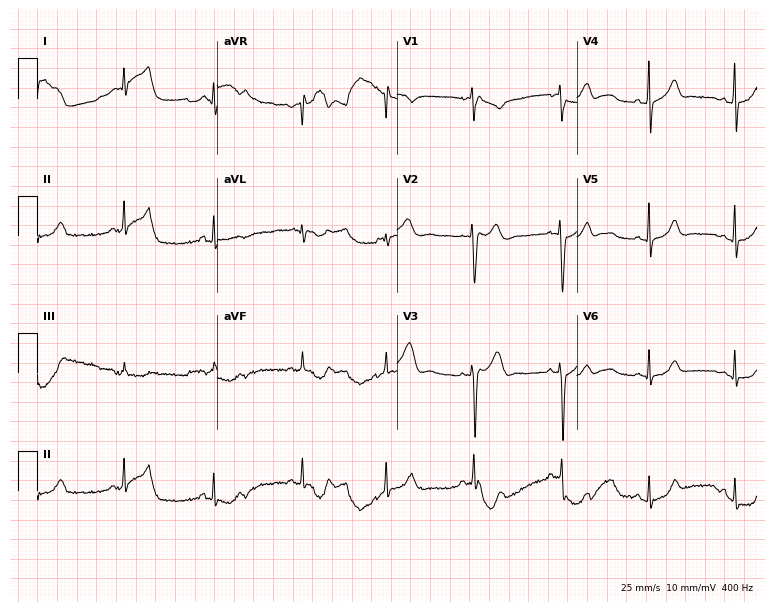
Resting 12-lead electrocardiogram. Patient: a male, 35 years old. None of these six findings is recorded: first-degree AV block, right bundle branch block, left bundle branch block, sinus bradycardia, atrial fibrillation, sinus tachycardia.